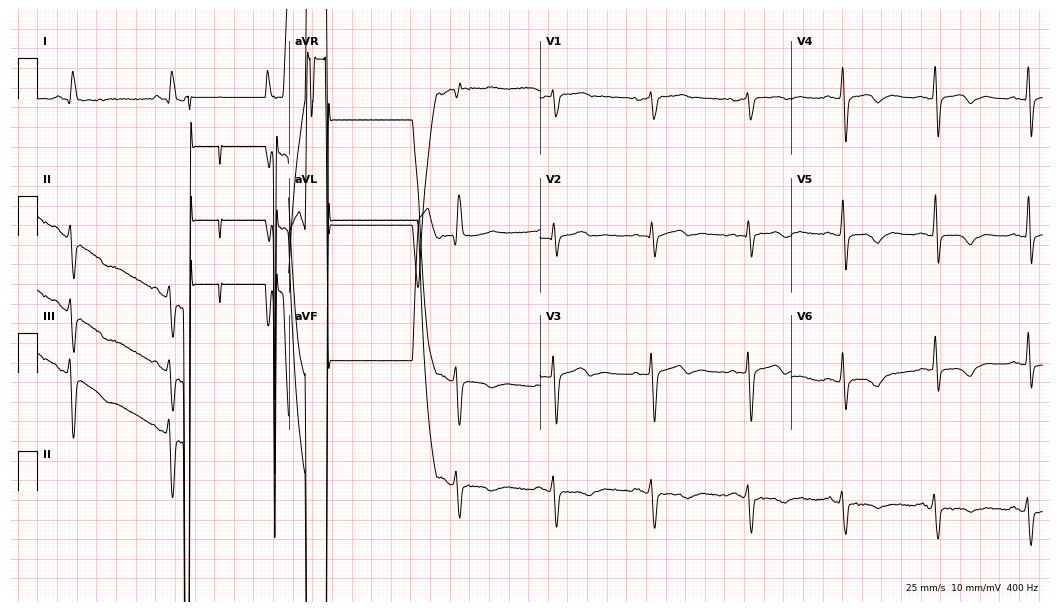
12-lead ECG from a female patient, 68 years old. Screened for six findings — first-degree AV block, right bundle branch block (RBBB), left bundle branch block (LBBB), sinus bradycardia, atrial fibrillation (AF), sinus tachycardia — none is recorded.